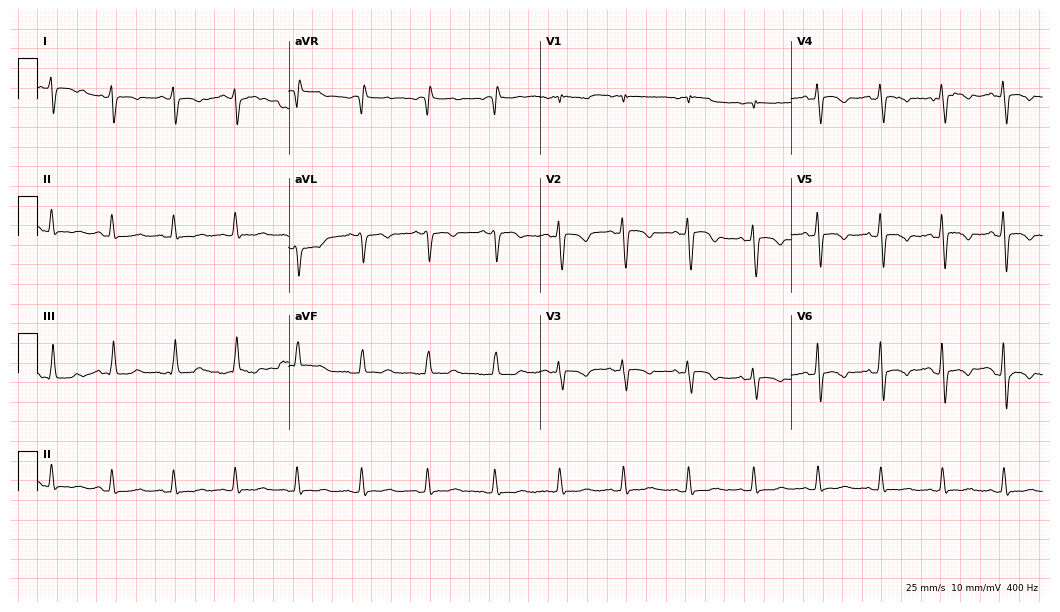
Electrocardiogram, a 41-year-old female patient. Of the six screened findings (first-degree AV block, right bundle branch block, left bundle branch block, sinus bradycardia, atrial fibrillation, sinus tachycardia), none is recorded.